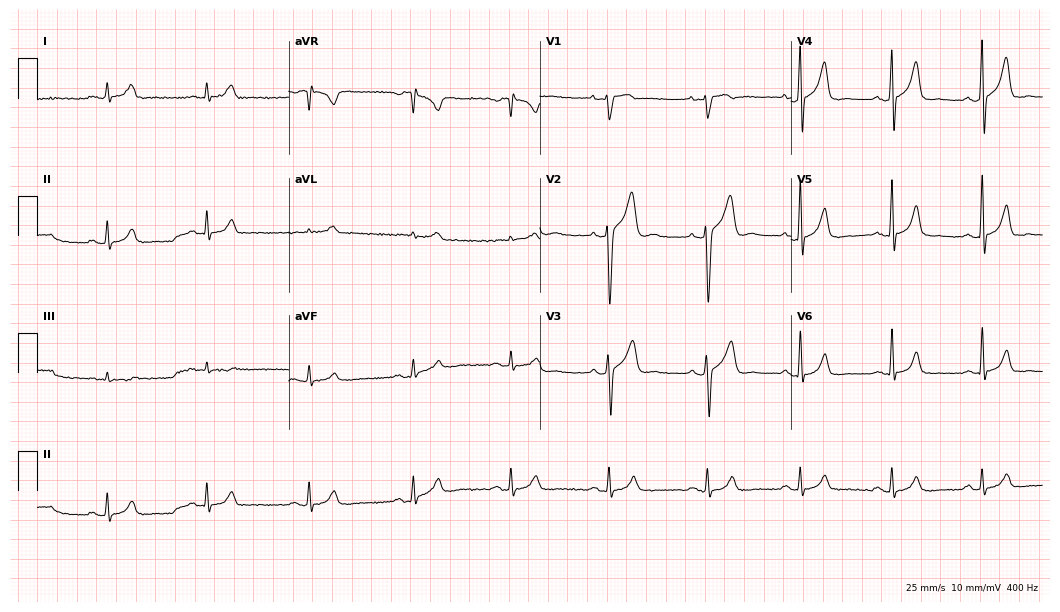
Standard 12-lead ECG recorded from a 45-year-old female patient (10.2-second recording at 400 Hz). Read as a normal ECG.